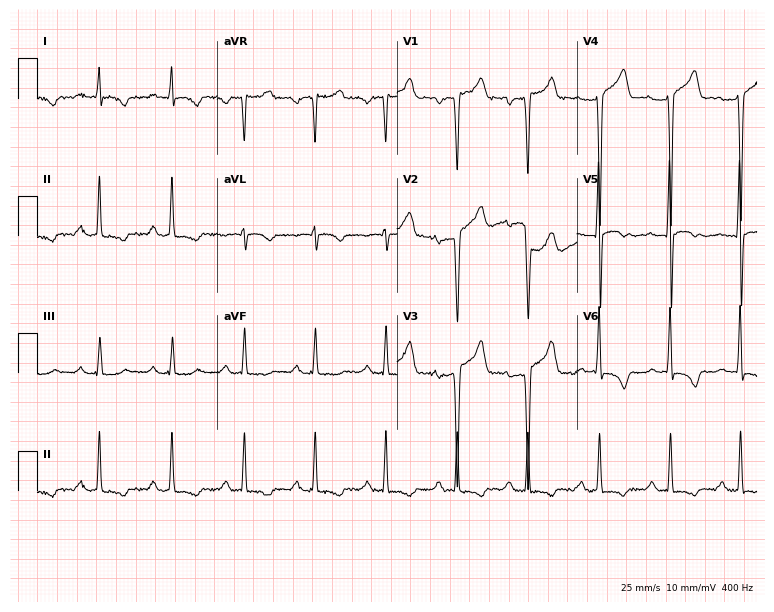
Resting 12-lead electrocardiogram (7.3-second recording at 400 Hz). Patient: a male, 54 years old. None of these six findings is recorded: first-degree AV block, right bundle branch block, left bundle branch block, sinus bradycardia, atrial fibrillation, sinus tachycardia.